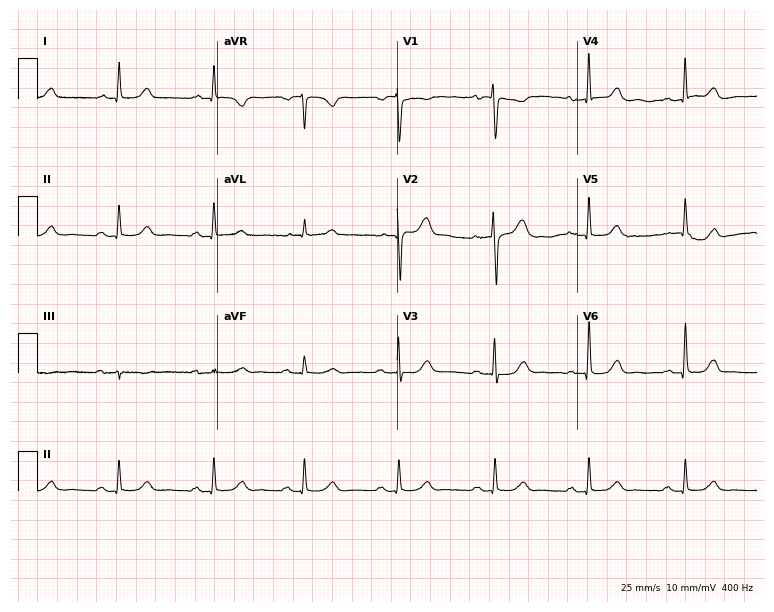
Standard 12-lead ECG recorded from a 62-year-old female patient (7.3-second recording at 400 Hz). None of these six findings is recorded: first-degree AV block, right bundle branch block (RBBB), left bundle branch block (LBBB), sinus bradycardia, atrial fibrillation (AF), sinus tachycardia.